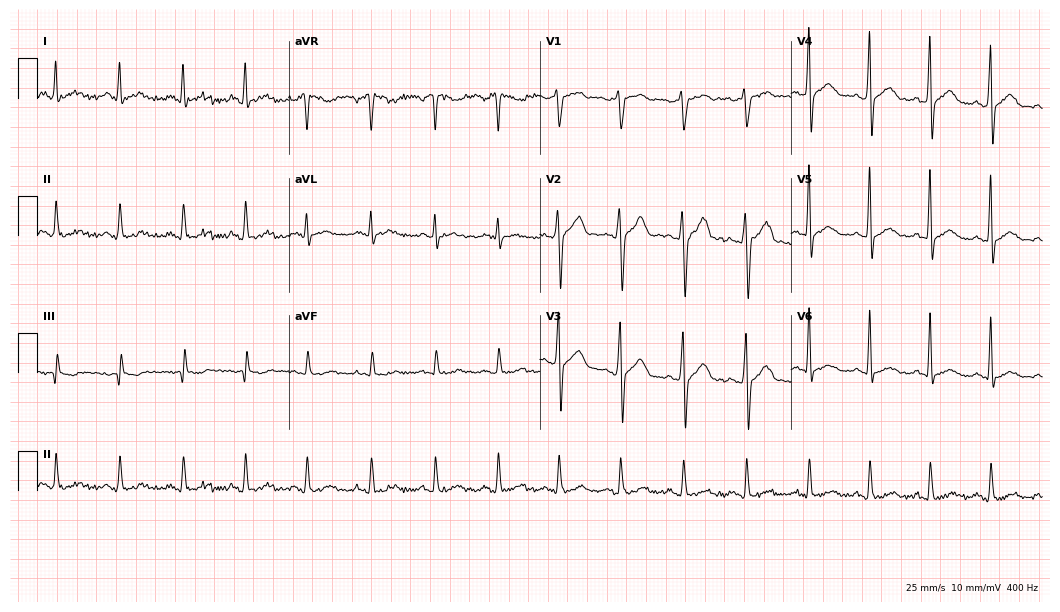
Electrocardiogram (10.2-second recording at 400 Hz), a male patient, 30 years old. Of the six screened findings (first-degree AV block, right bundle branch block (RBBB), left bundle branch block (LBBB), sinus bradycardia, atrial fibrillation (AF), sinus tachycardia), none is recorded.